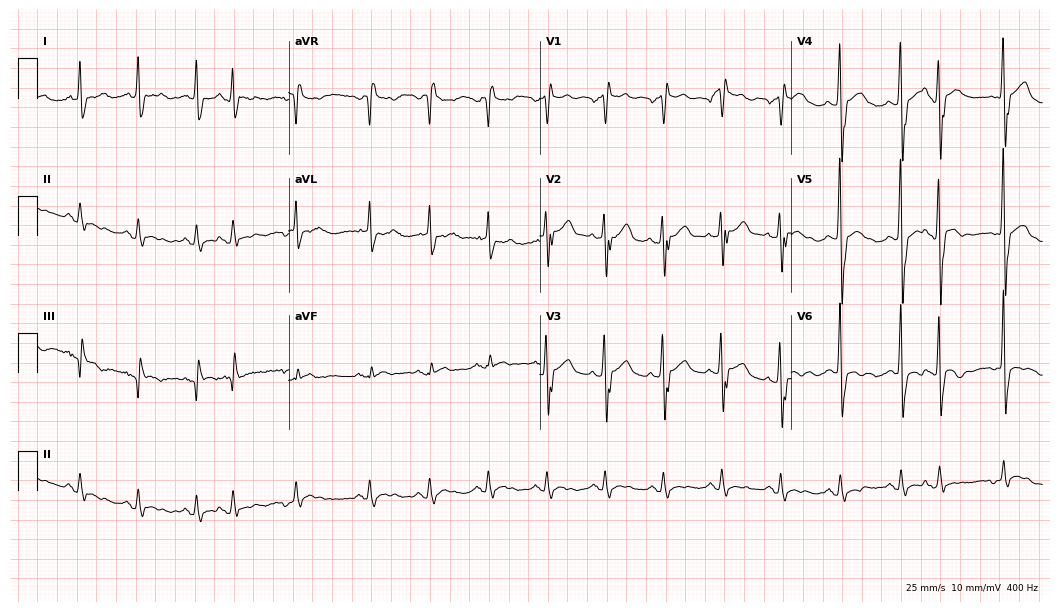
12-lead ECG from a 71-year-old man. Findings include sinus tachycardia (a sinus rate of 100 beats per minute or more).